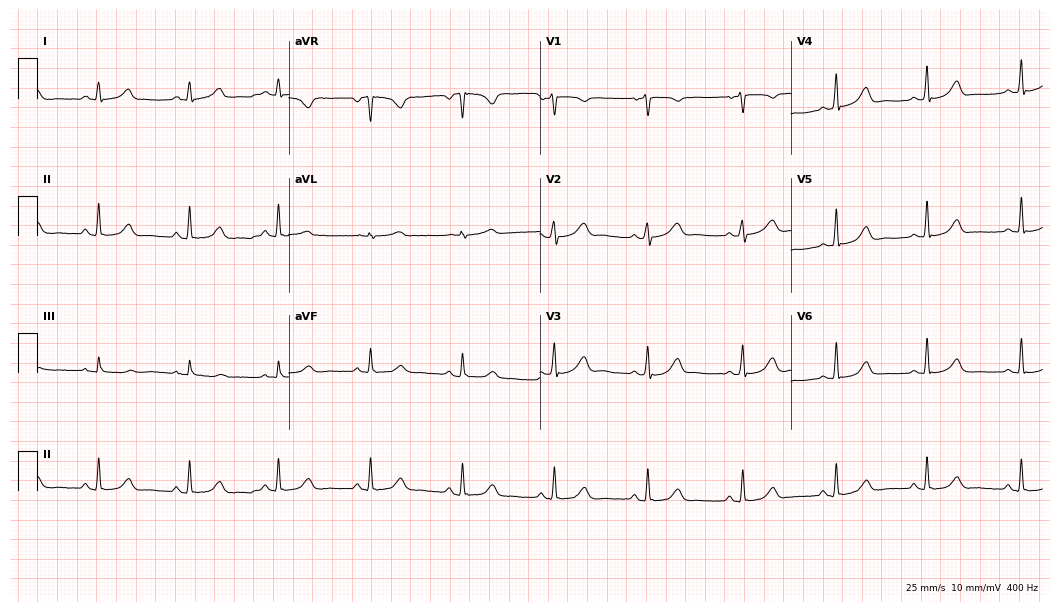
Resting 12-lead electrocardiogram (10.2-second recording at 400 Hz). Patient: a female, 49 years old. Read as a normal ECG.